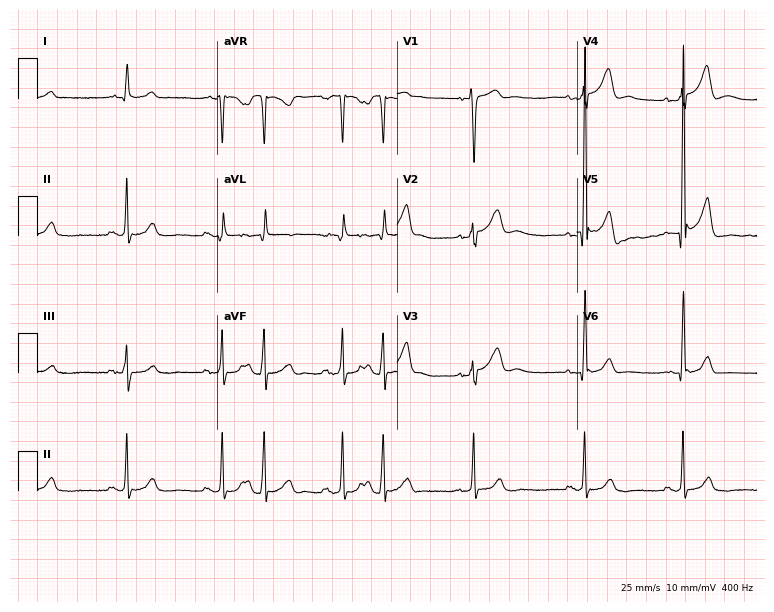
ECG (7.3-second recording at 400 Hz) — a 47-year-old male patient. Screened for six findings — first-degree AV block, right bundle branch block (RBBB), left bundle branch block (LBBB), sinus bradycardia, atrial fibrillation (AF), sinus tachycardia — none is recorded. Other findings, if any, are not listed.